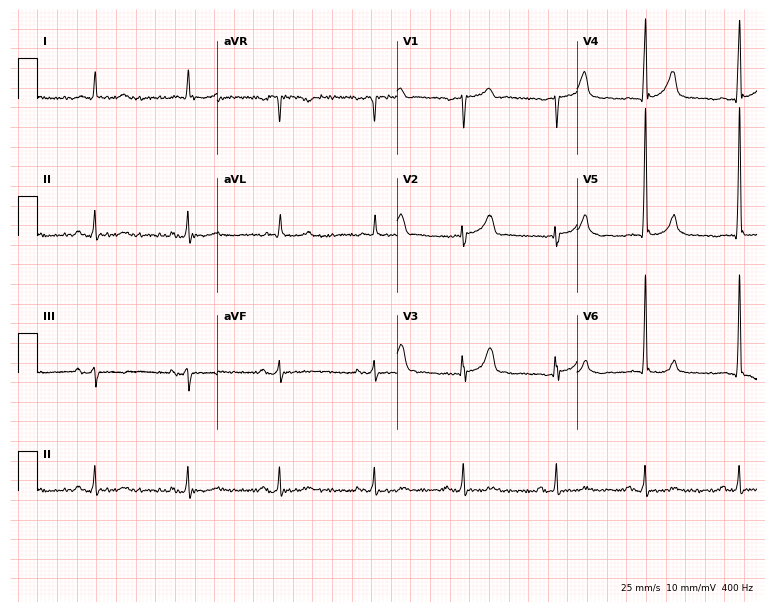
Standard 12-lead ECG recorded from a male, 73 years old (7.3-second recording at 400 Hz). None of these six findings is recorded: first-degree AV block, right bundle branch block (RBBB), left bundle branch block (LBBB), sinus bradycardia, atrial fibrillation (AF), sinus tachycardia.